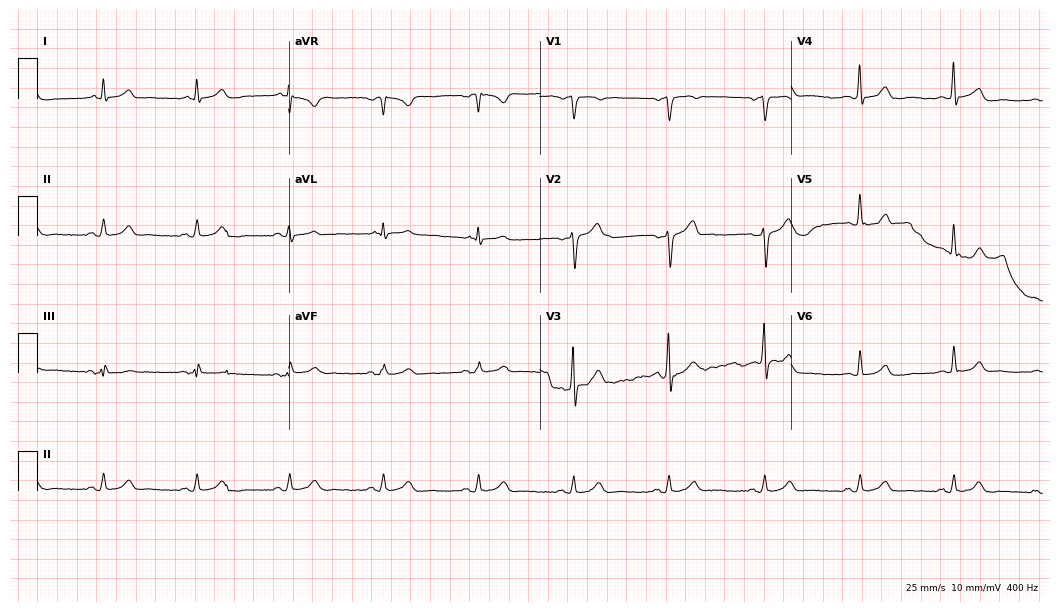
ECG (10.2-second recording at 400 Hz) — a 41-year-old man. Labelled as a normal ECG.